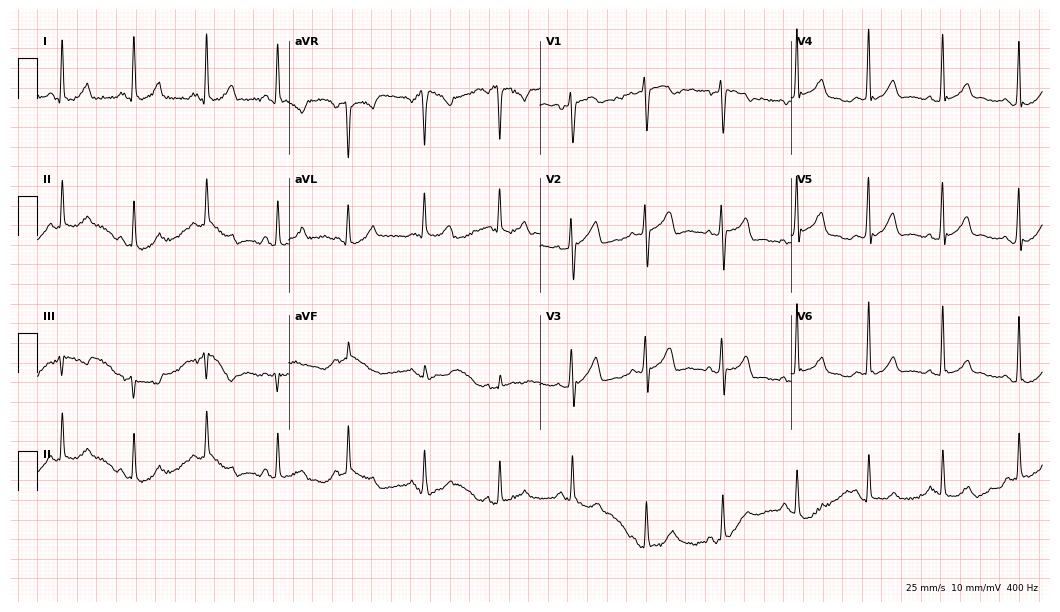
Standard 12-lead ECG recorded from a 25-year-old female. Read as a normal ECG.